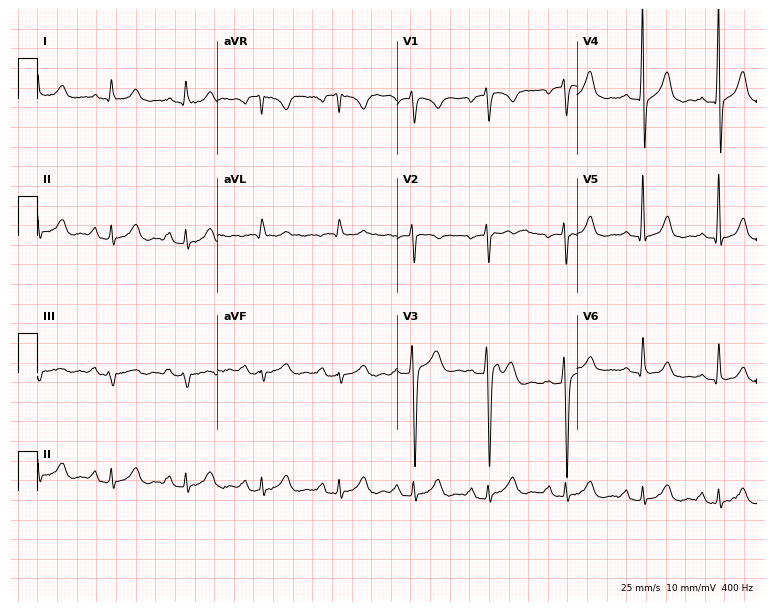
ECG (7.3-second recording at 400 Hz) — a male patient, 32 years old. Screened for six findings — first-degree AV block, right bundle branch block, left bundle branch block, sinus bradycardia, atrial fibrillation, sinus tachycardia — none is recorded.